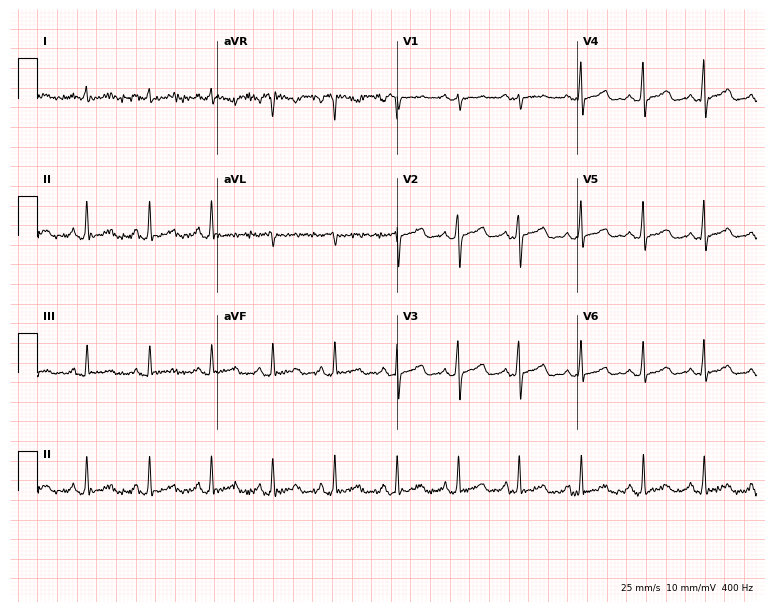
ECG (7.3-second recording at 400 Hz) — a 43-year-old woman. Screened for six findings — first-degree AV block, right bundle branch block, left bundle branch block, sinus bradycardia, atrial fibrillation, sinus tachycardia — none is recorded.